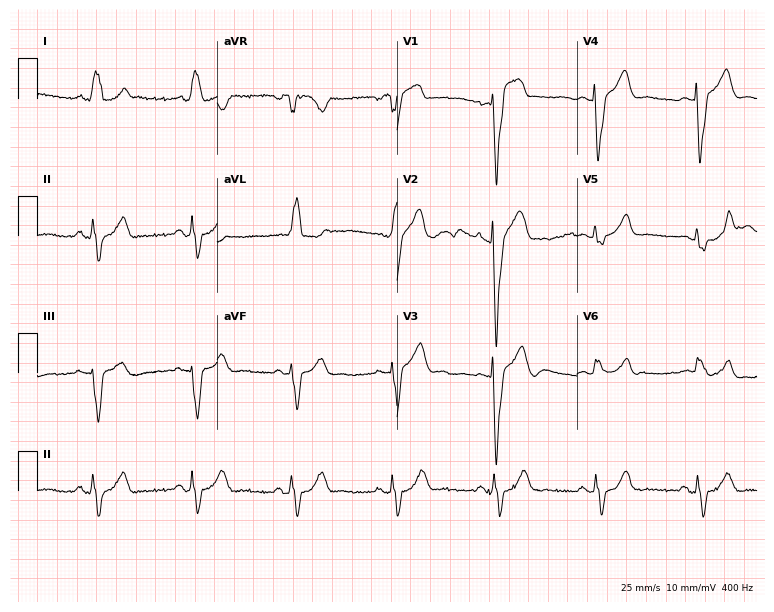
ECG — a 74-year-old woman. Findings include left bundle branch block.